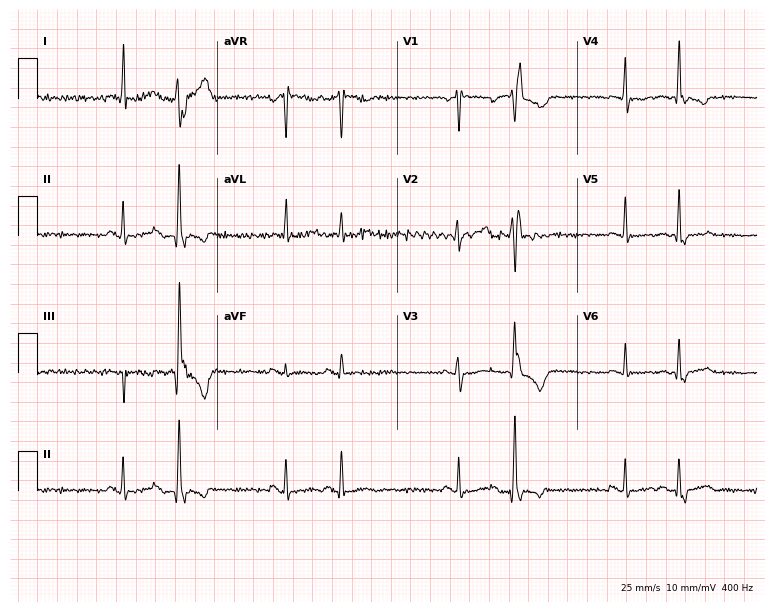
12-lead ECG from a female patient, 48 years old (7.3-second recording at 400 Hz). No first-degree AV block, right bundle branch block (RBBB), left bundle branch block (LBBB), sinus bradycardia, atrial fibrillation (AF) or sinus tachycardia recorded for this tracing.